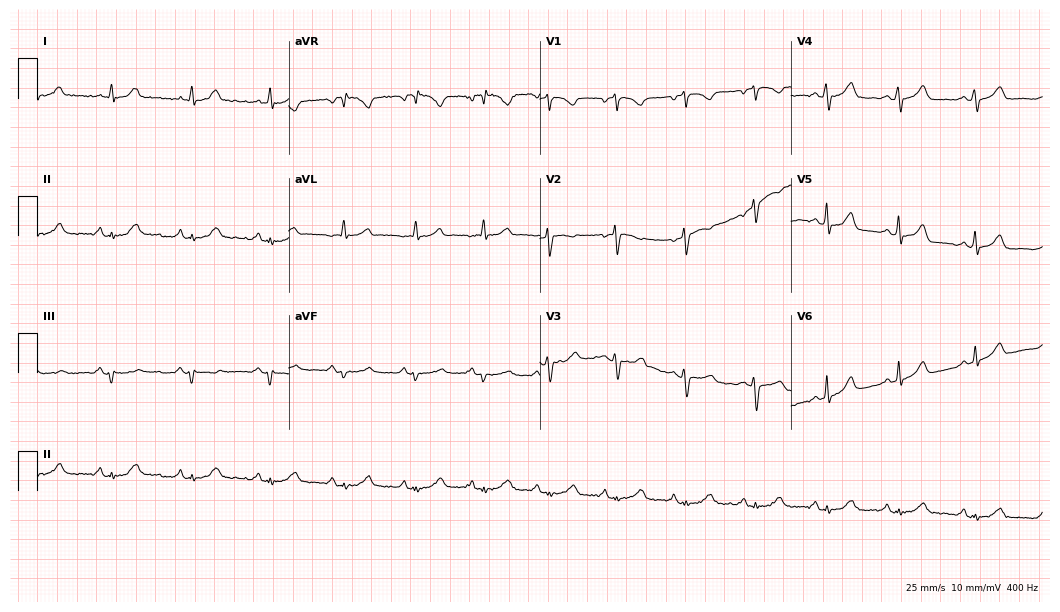
12-lead ECG (10.2-second recording at 400 Hz) from a 51-year-old female patient. Labelled as a normal ECG.